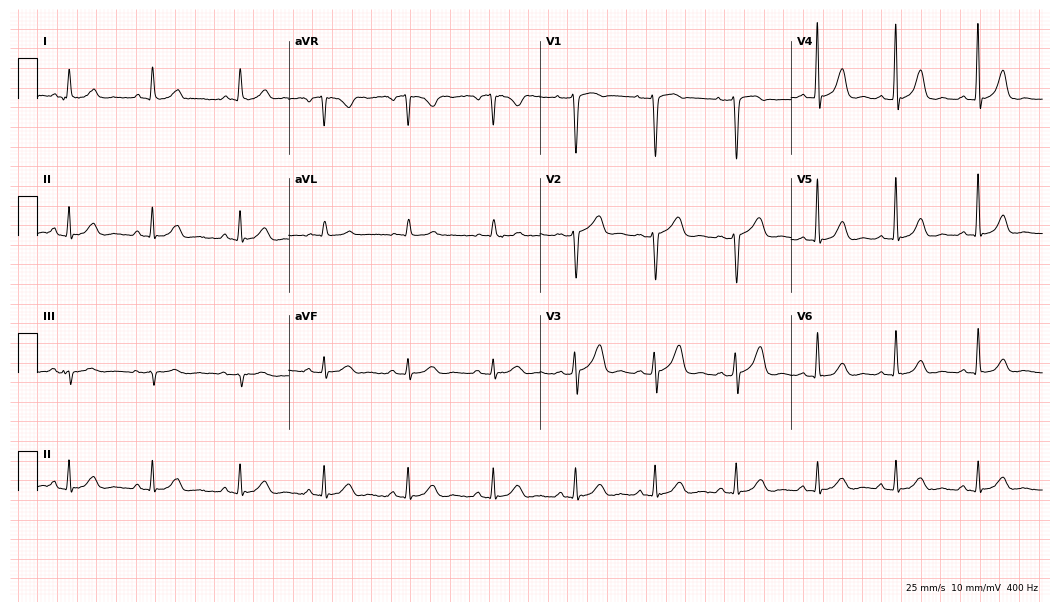
Standard 12-lead ECG recorded from a 49-year-old female patient. None of these six findings is recorded: first-degree AV block, right bundle branch block, left bundle branch block, sinus bradycardia, atrial fibrillation, sinus tachycardia. Only these six findings were labelled.